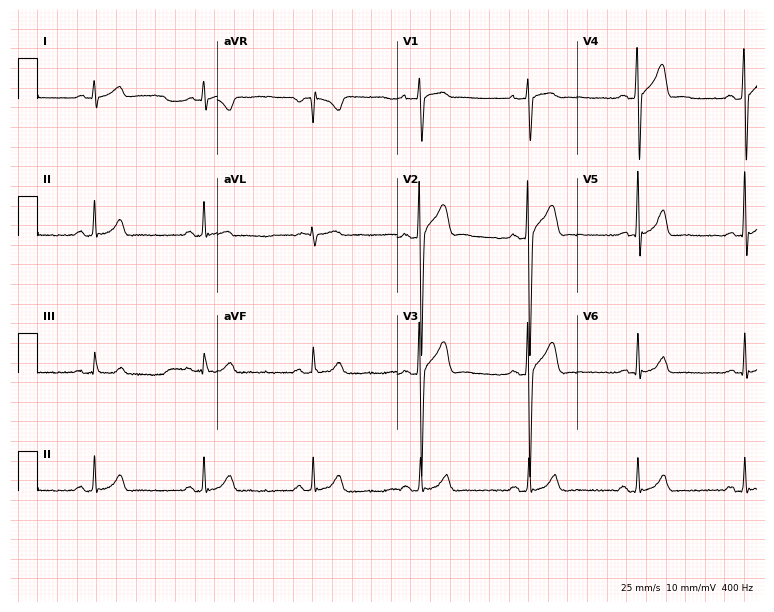
Resting 12-lead electrocardiogram (7.3-second recording at 400 Hz). Patient: a man, 41 years old. None of these six findings is recorded: first-degree AV block, right bundle branch block, left bundle branch block, sinus bradycardia, atrial fibrillation, sinus tachycardia. Only these six findings were labelled.